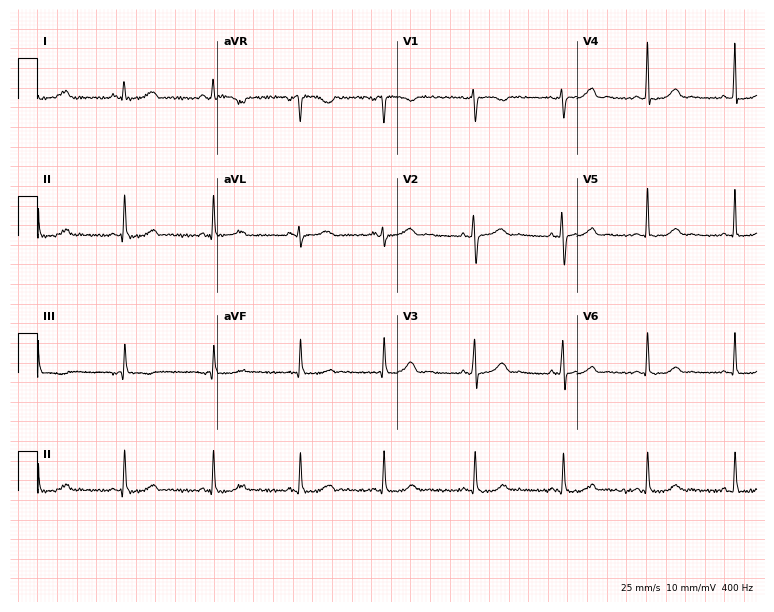
12-lead ECG (7.3-second recording at 400 Hz) from a 41-year-old female. Labelled as a normal ECG.